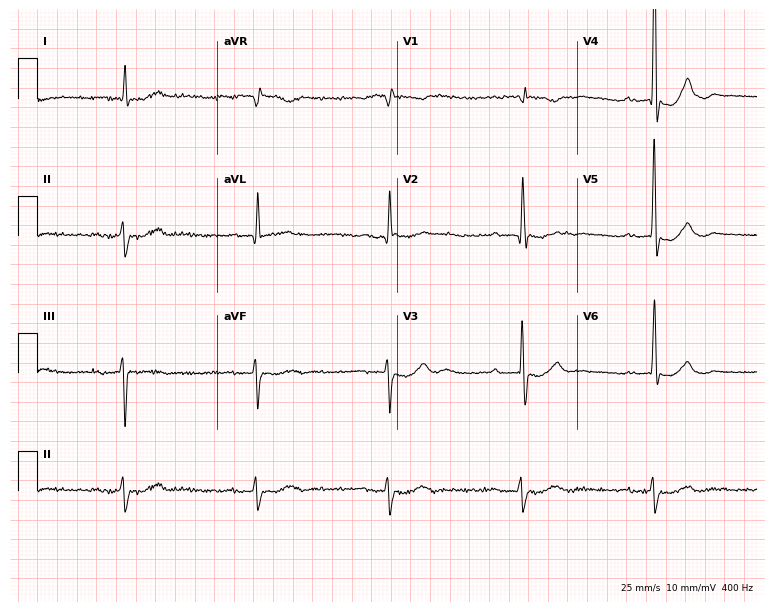
Electrocardiogram, a 76-year-old male patient. Interpretation includes first-degree AV block, sinus bradycardia (a sinus rate of 50 beats per minute or less).